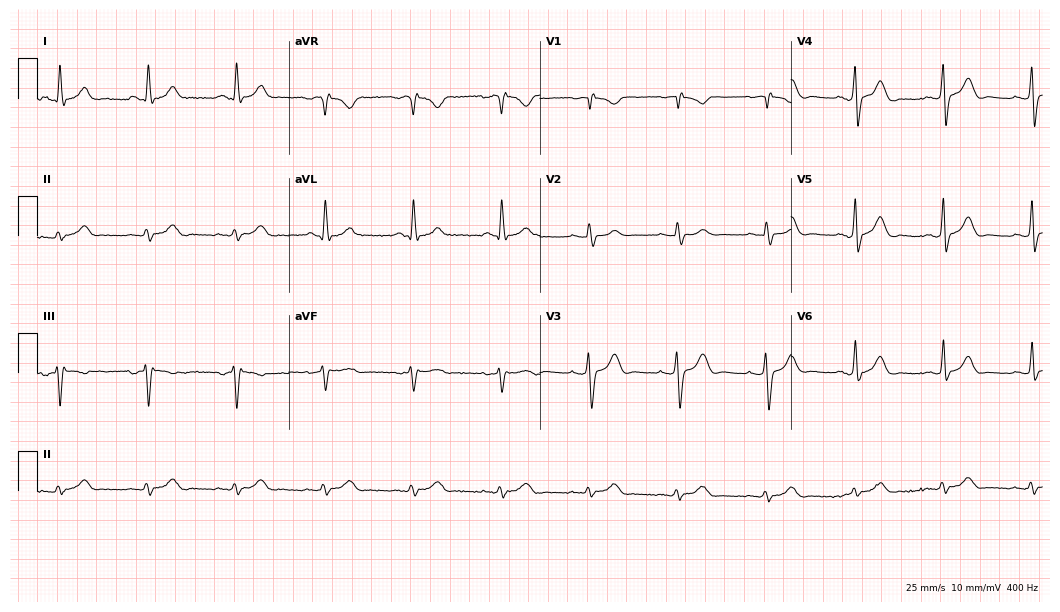
ECG — a male patient, 75 years old. Screened for six findings — first-degree AV block, right bundle branch block (RBBB), left bundle branch block (LBBB), sinus bradycardia, atrial fibrillation (AF), sinus tachycardia — none is recorded. Only these six findings were labelled.